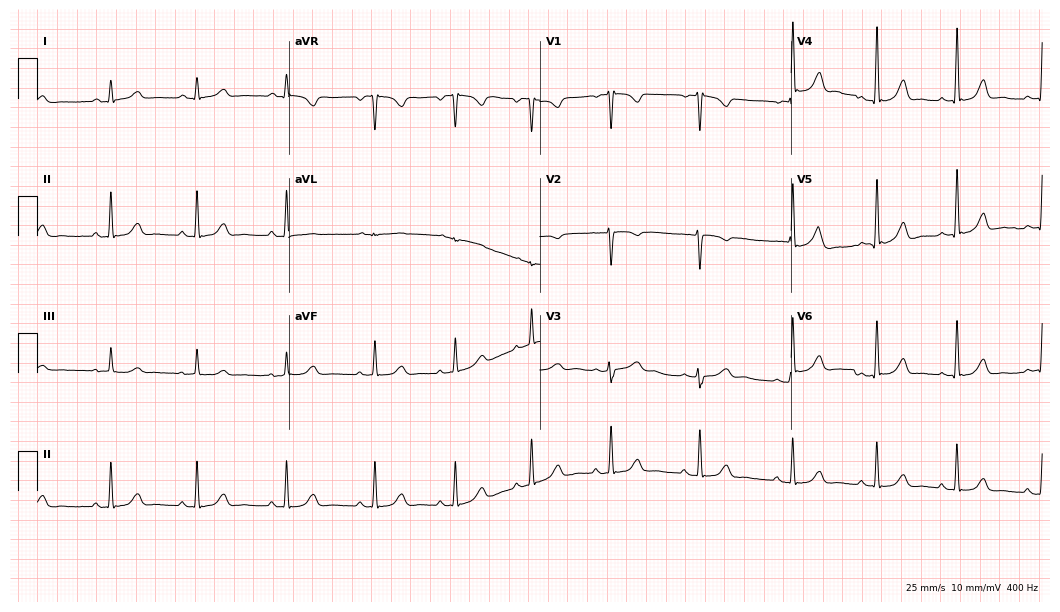
ECG (10.2-second recording at 400 Hz) — a female patient, 21 years old. Screened for six findings — first-degree AV block, right bundle branch block (RBBB), left bundle branch block (LBBB), sinus bradycardia, atrial fibrillation (AF), sinus tachycardia — none is recorded.